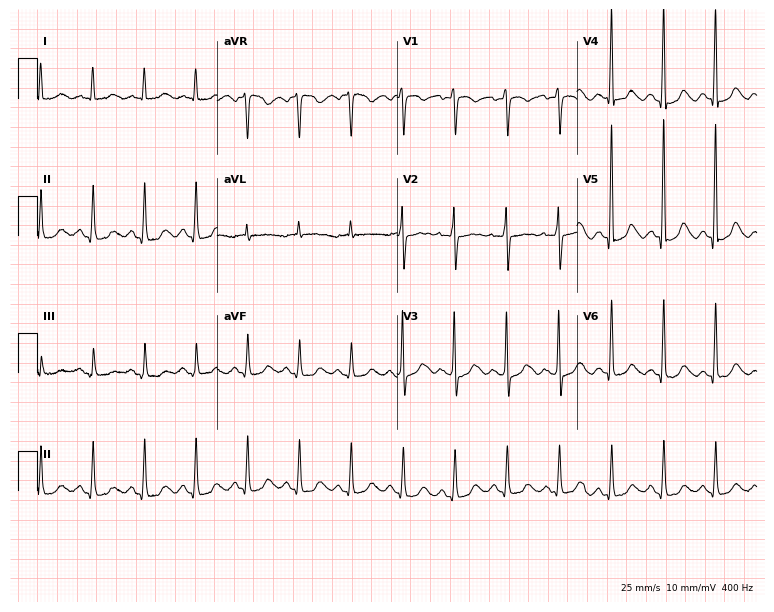
12-lead ECG from a woman, 73 years old (7.3-second recording at 400 Hz). Shows sinus tachycardia (a sinus rate of 100 beats per minute or more).